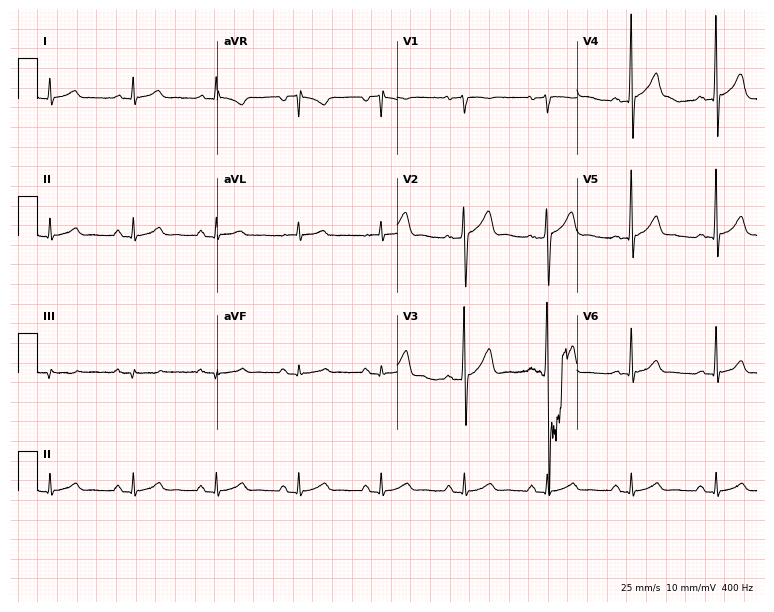
Electrocardiogram (7.3-second recording at 400 Hz), a 52-year-old man. Overall reading on record: normal ECG.